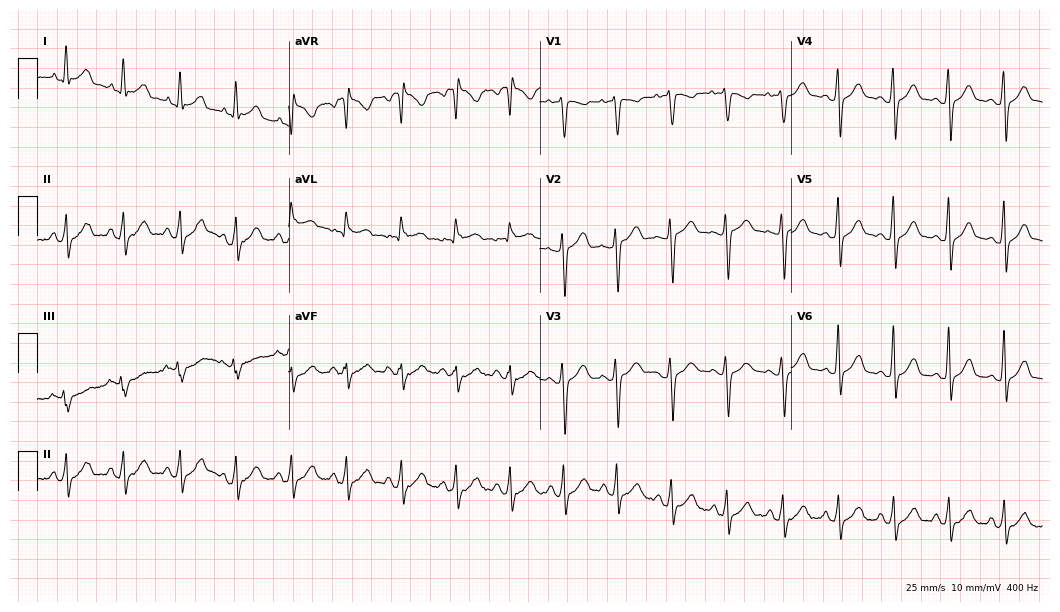
12-lead ECG (10.2-second recording at 400 Hz) from a female, 31 years old. Findings include sinus tachycardia (a sinus rate of 100 beats per minute or more).